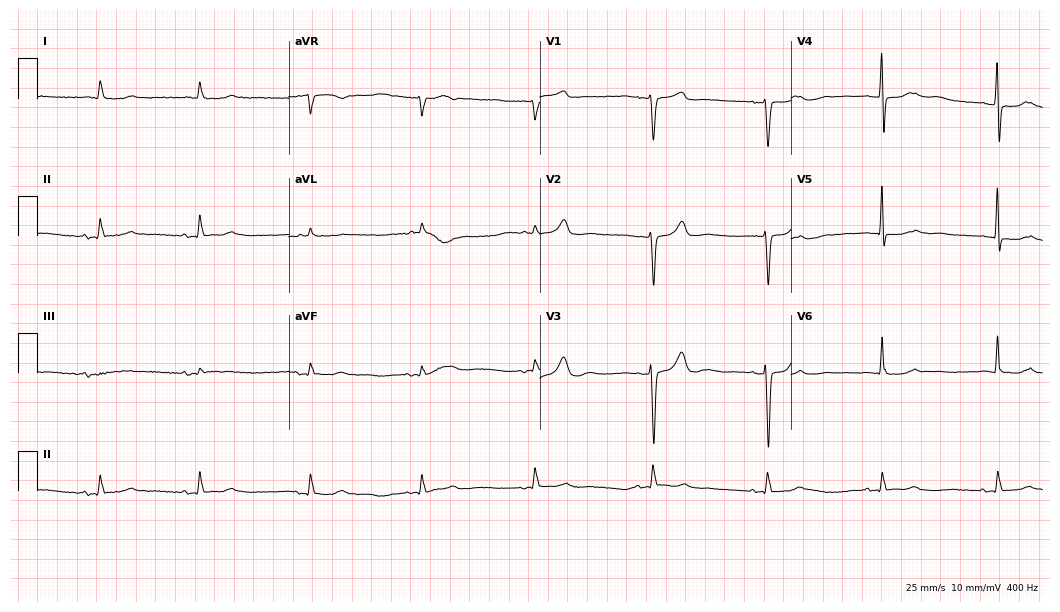
Resting 12-lead electrocardiogram (10.2-second recording at 400 Hz). Patient: an 87-year-old female. Read as a normal ECG.